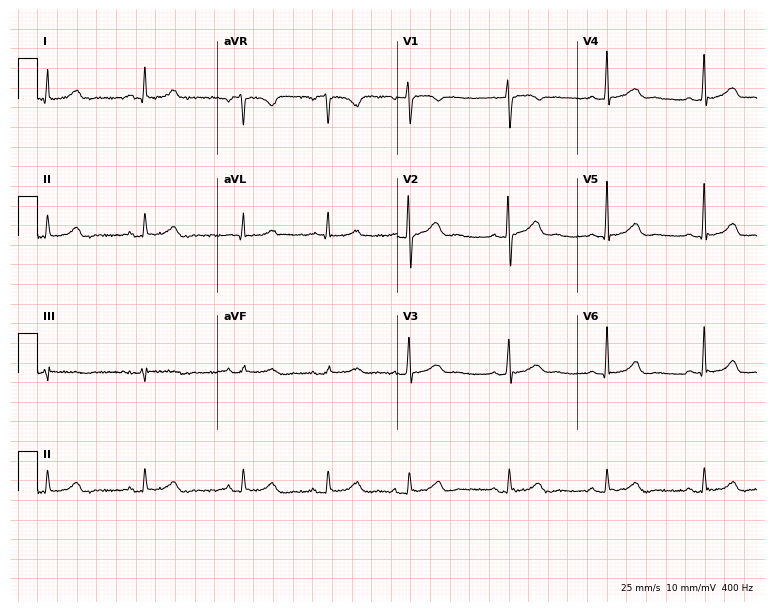
Standard 12-lead ECG recorded from a woman, 31 years old (7.3-second recording at 400 Hz). Read as a normal ECG.